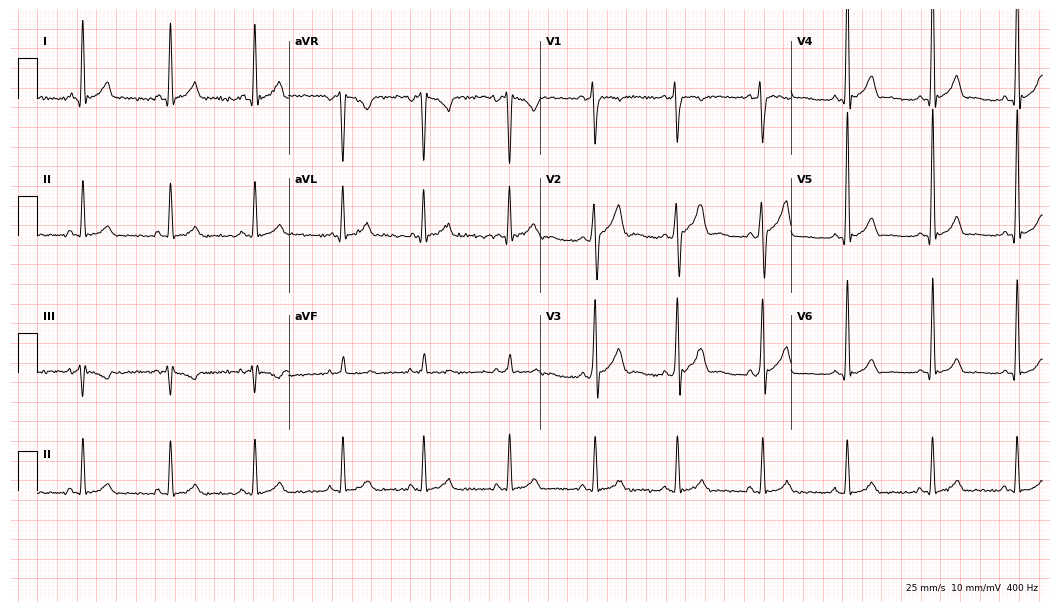
12-lead ECG from a male patient, 29 years old. No first-degree AV block, right bundle branch block (RBBB), left bundle branch block (LBBB), sinus bradycardia, atrial fibrillation (AF) or sinus tachycardia recorded for this tracing. Only these six findings were labelled.